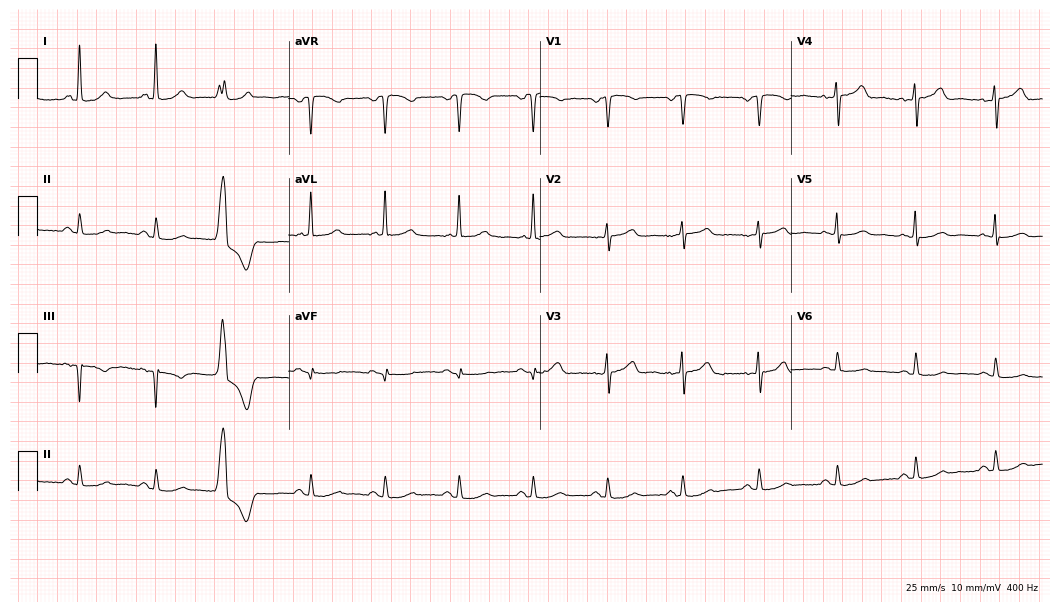
12-lead ECG (10.2-second recording at 400 Hz) from a 65-year-old woman. Screened for six findings — first-degree AV block, right bundle branch block (RBBB), left bundle branch block (LBBB), sinus bradycardia, atrial fibrillation (AF), sinus tachycardia — none is recorded. Findings outside these six are not listed.